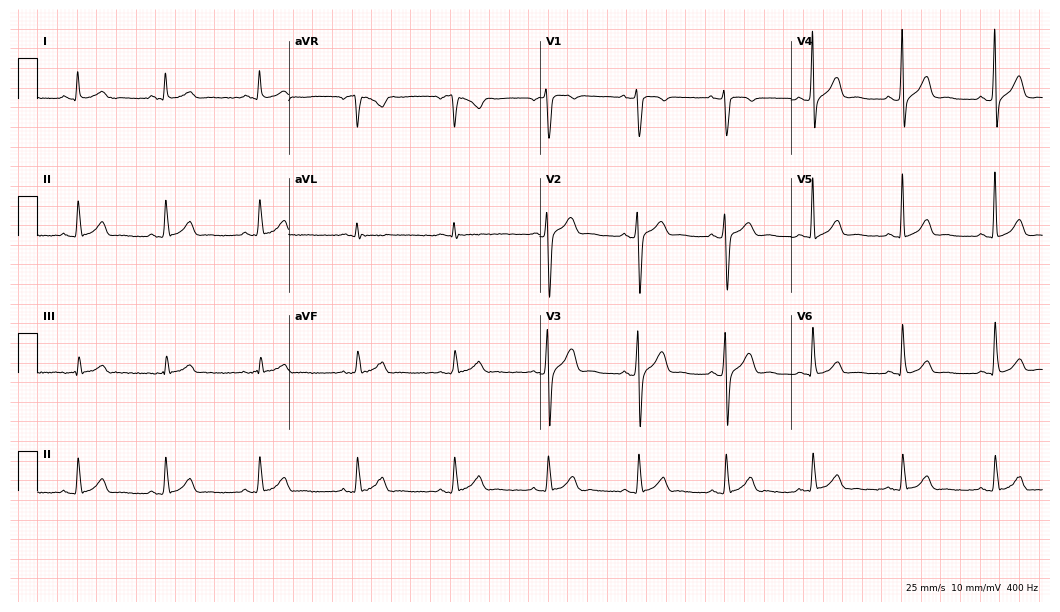
12-lead ECG from a 39-year-old male patient (10.2-second recording at 400 Hz). No first-degree AV block, right bundle branch block, left bundle branch block, sinus bradycardia, atrial fibrillation or sinus tachycardia recorded for this tracing.